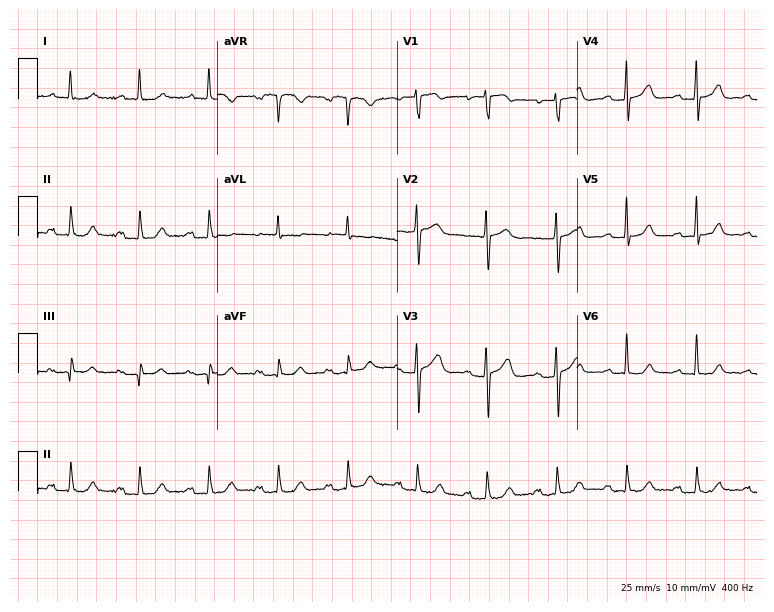
ECG — an 83-year-old female. Labelled as a normal ECG.